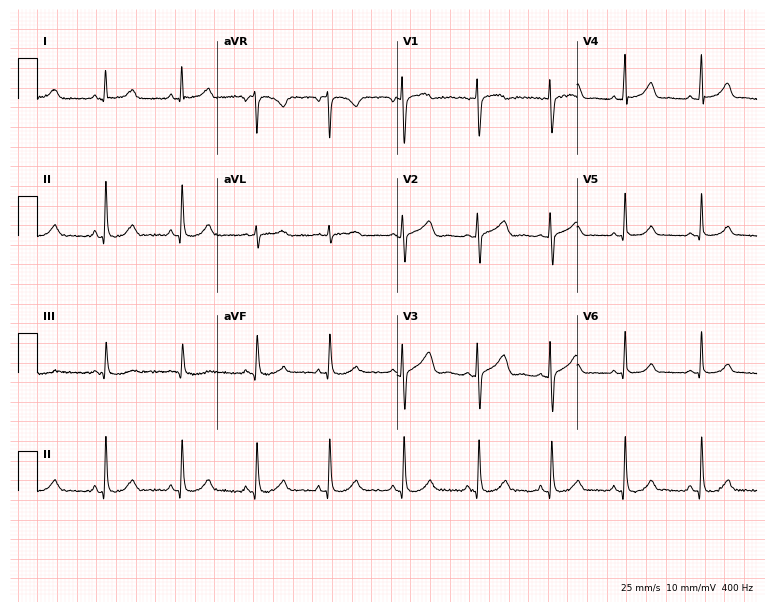
12-lead ECG from a 22-year-old female patient (7.3-second recording at 400 Hz). No first-degree AV block, right bundle branch block, left bundle branch block, sinus bradycardia, atrial fibrillation or sinus tachycardia recorded for this tracing. Other findings, if any, are not listed.